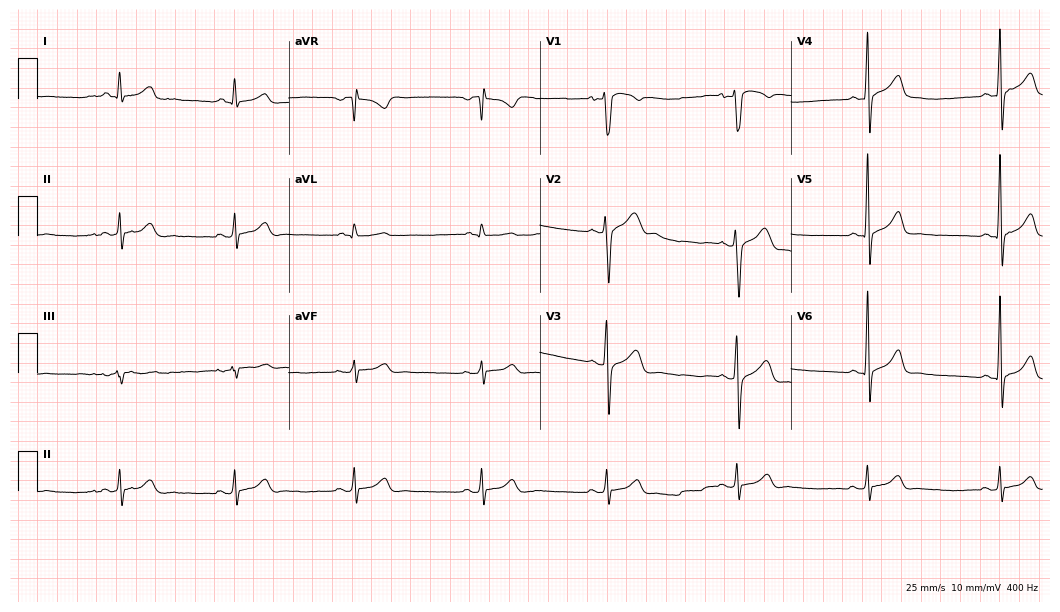
Resting 12-lead electrocardiogram. Patient: a male, 30 years old. None of these six findings is recorded: first-degree AV block, right bundle branch block, left bundle branch block, sinus bradycardia, atrial fibrillation, sinus tachycardia. Findings outside these six are not listed.